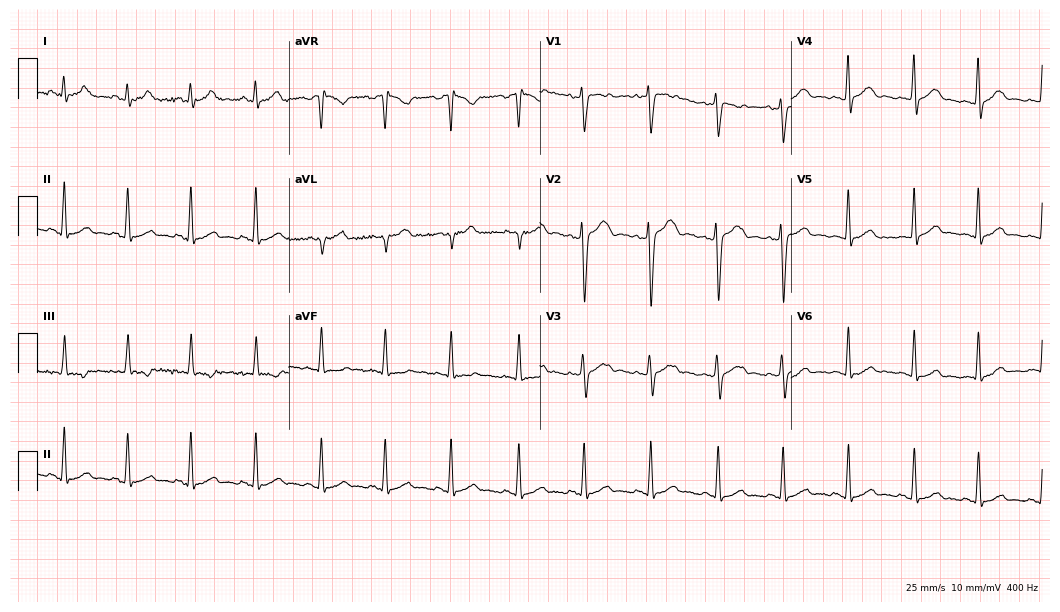
Resting 12-lead electrocardiogram. Patient: a woman, 34 years old. Read as a normal ECG.